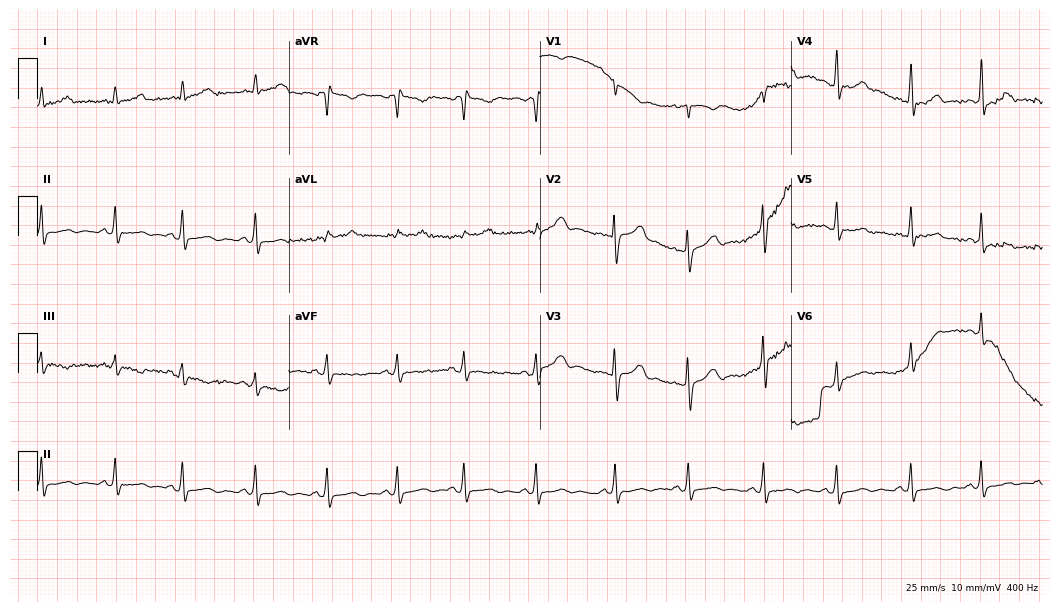
12-lead ECG from a female patient, 22 years old (10.2-second recording at 400 Hz). Recorded interpretation: within normal limits.